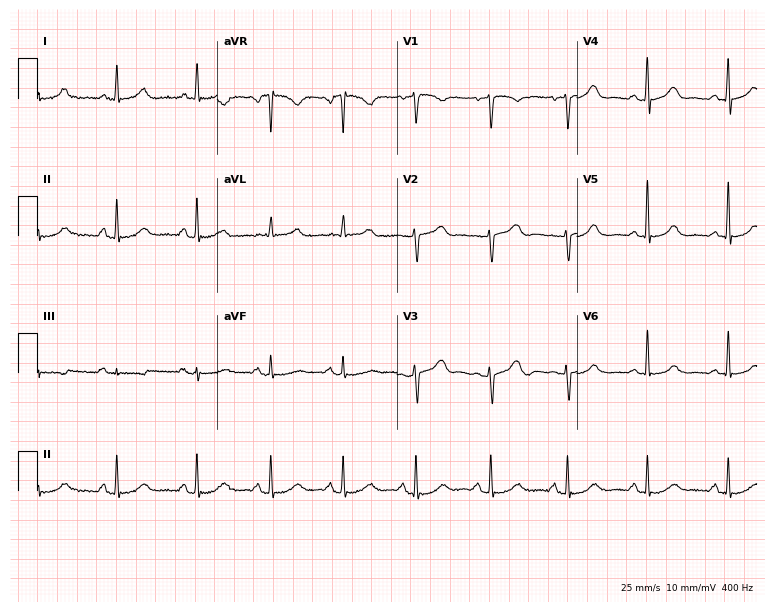
Resting 12-lead electrocardiogram. Patient: a 67-year-old female. Read as a normal ECG.